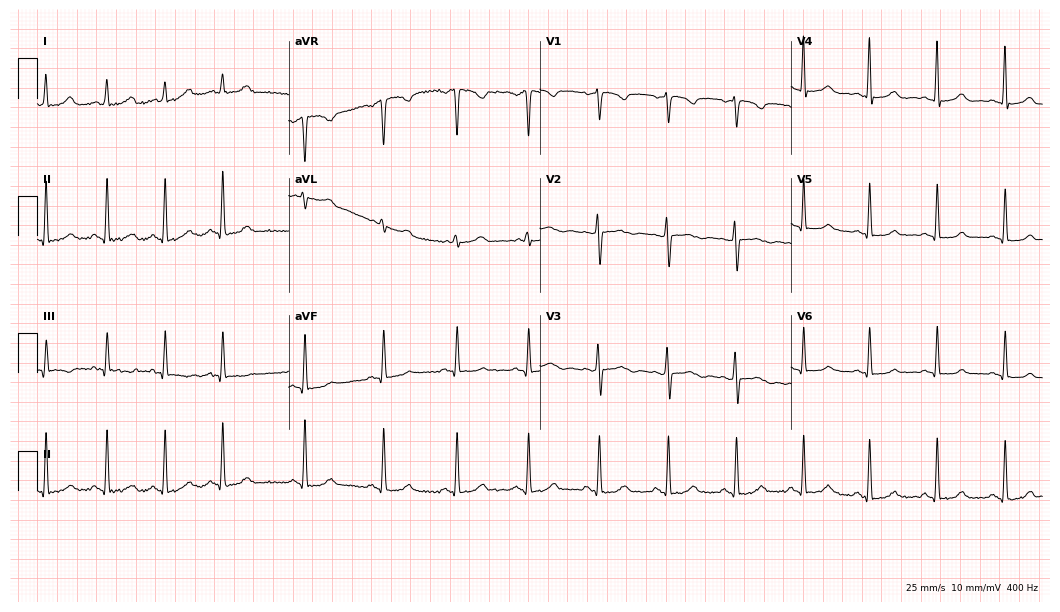
Electrocardiogram (10.2-second recording at 400 Hz), a 41-year-old female patient. Overall reading on record: normal ECG.